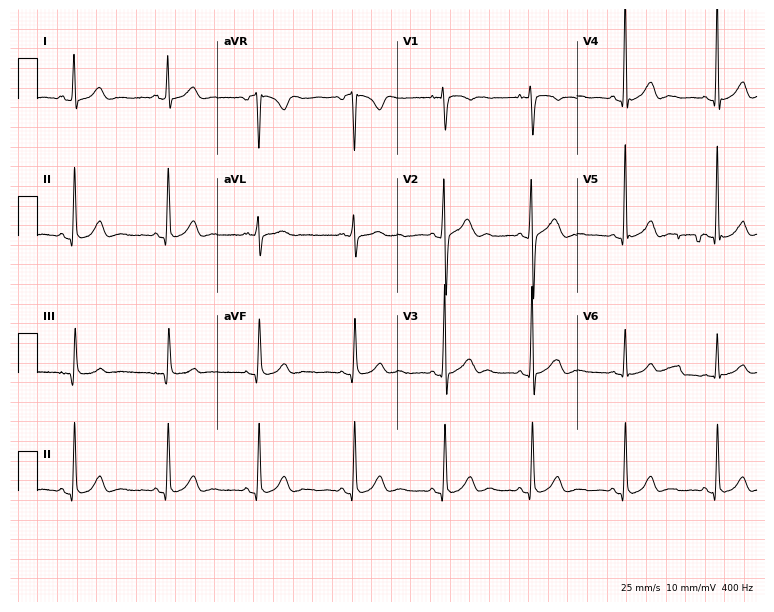
Standard 12-lead ECG recorded from a 17-year-old male (7.3-second recording at 400 Hz). Read as a normal ECG.